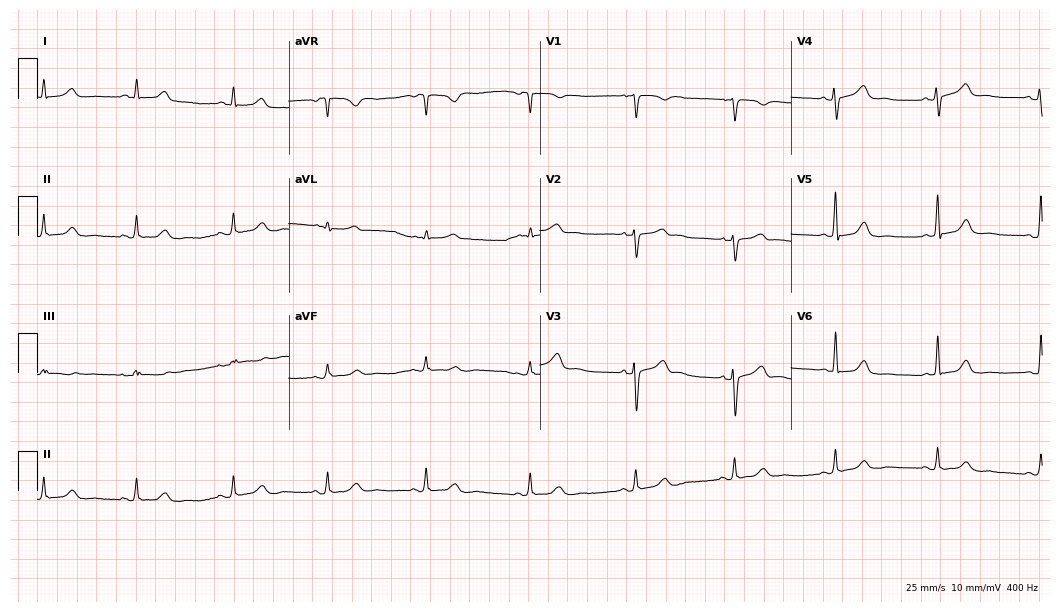
Standard 12-lead ECG recorded from a woman, 52 years old (10.2-second recording at 400 Hz). Read as a normal ECG.